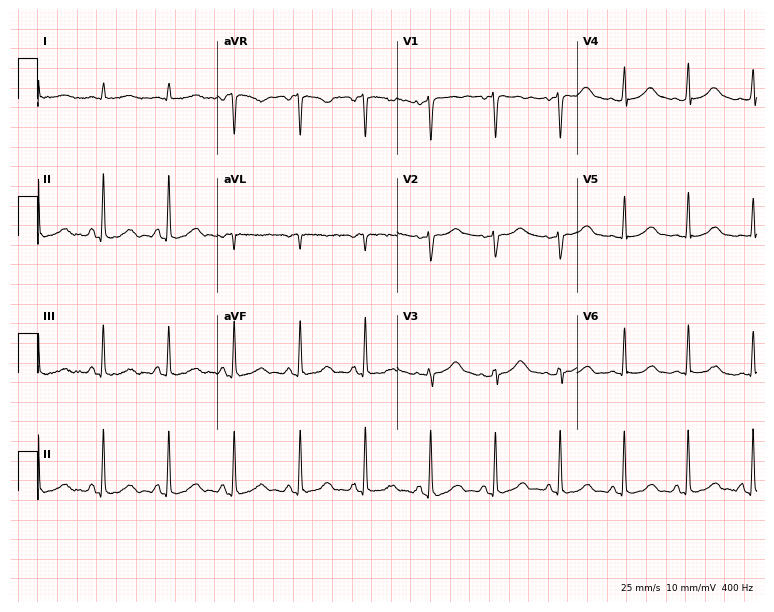
ECG — a man, 65 years old. Labelled as a normal ECG.